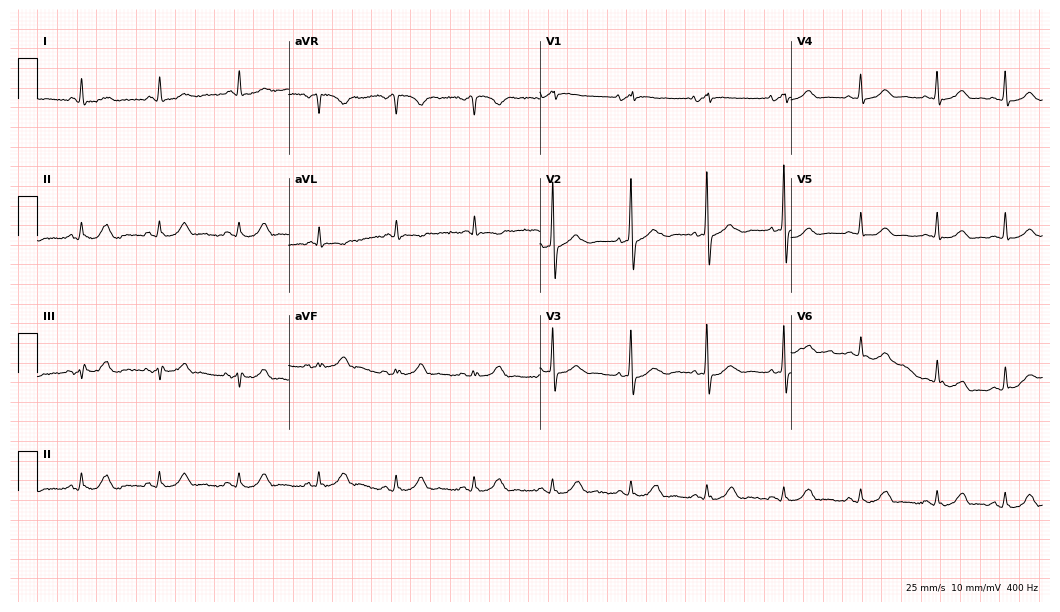
Standard 12-lead ECG recorded from an 81-year-old female patient. Read as a normal ECG.